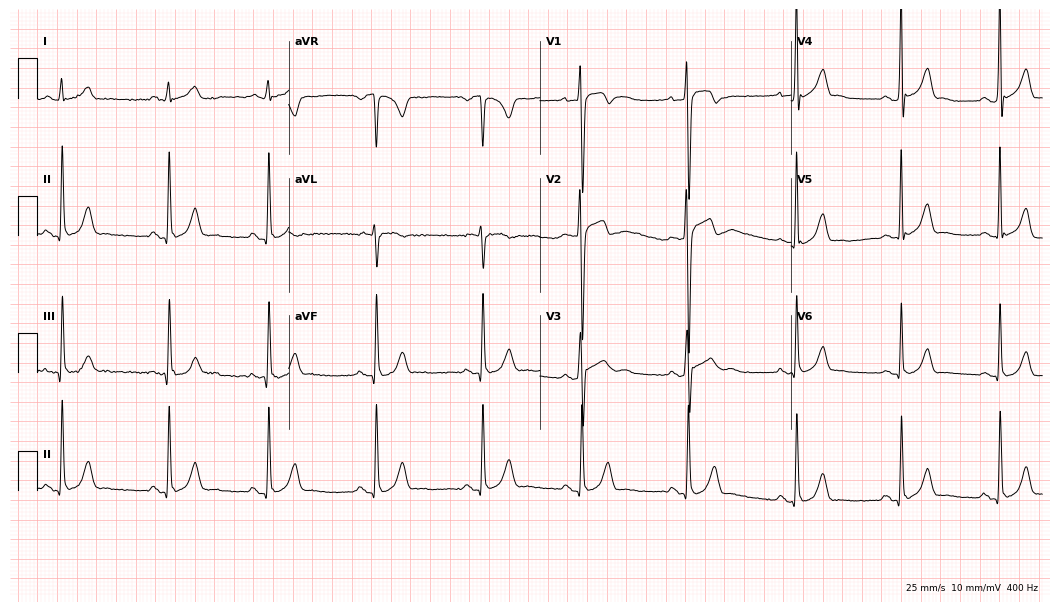
ECG (10.2-second recording at 400 Hz) — a man, 26 years old. Labelled as a normal ECG.